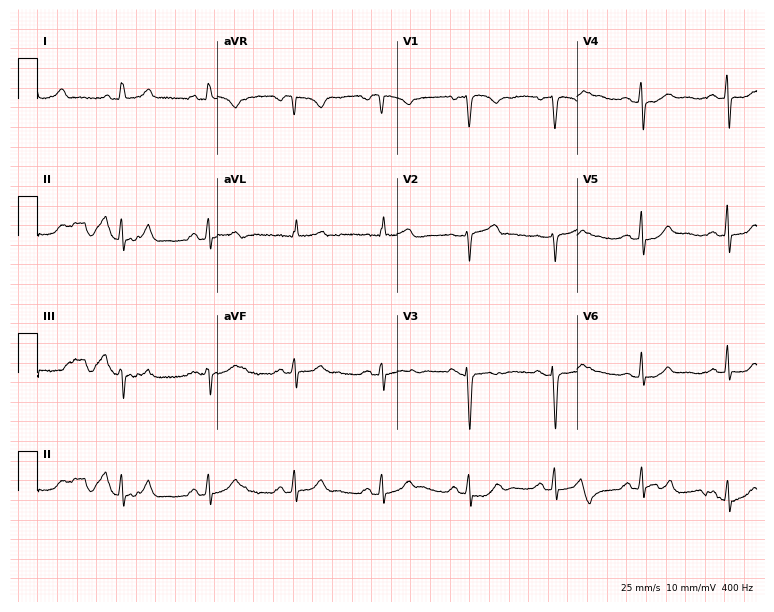
ECG — a 66-year-old female. Labelled as a normal ECG.